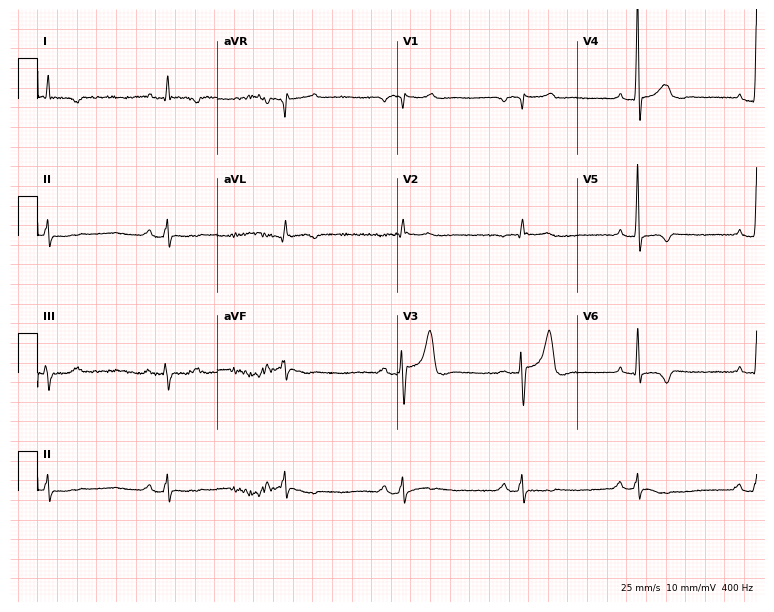
Resting 12-lead electrocardiogram. Patient: a 77-year-old male. The tracing shows sinus bradycardia (a sinus rate of 50 beats per minute or less).